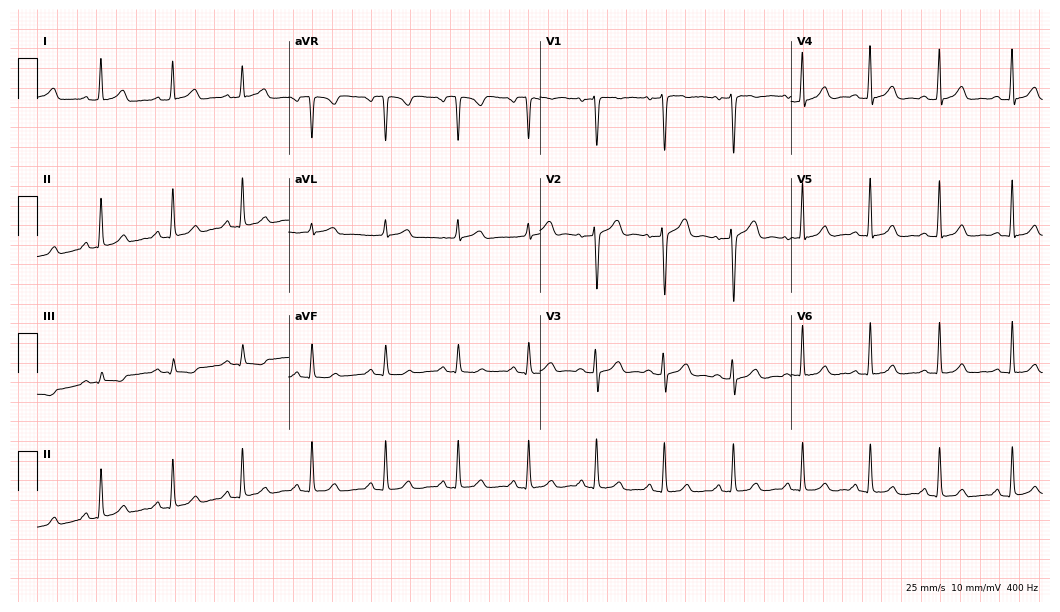
Standard 12-lead ECG recorded from a 39-year-old woman. Read as a normal ECG.